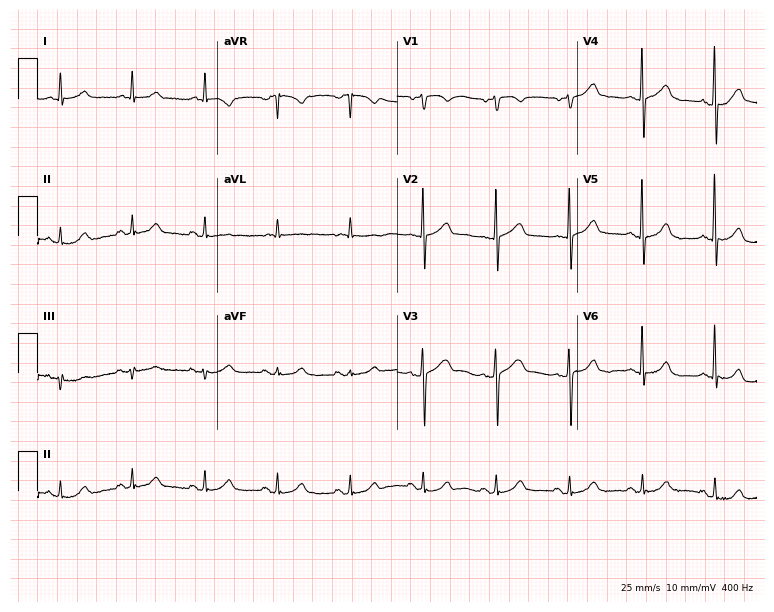
Standard 12-lead ECG recorded from a female patient, 79 years old (7.3-second recording at 400 Hz). Read as a normal ECG.